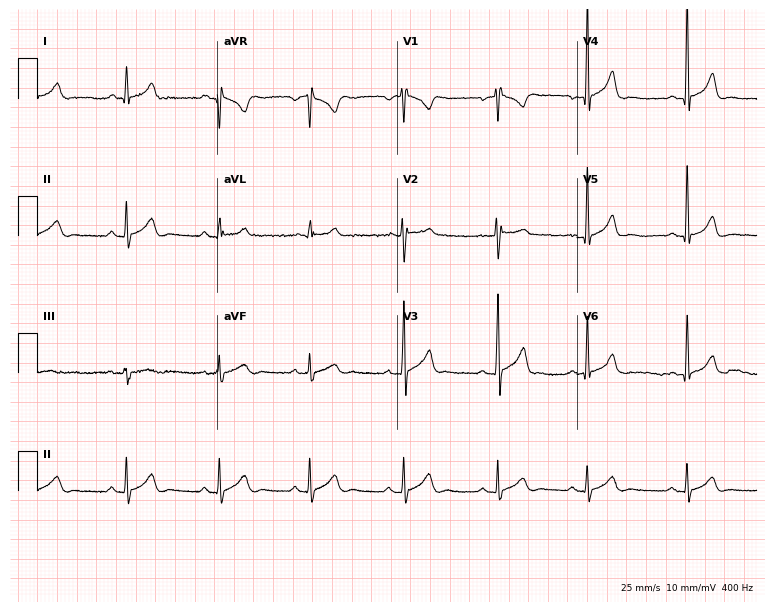
12-lead ECG from a 22-year-old man (7.3-second recording at 400 Hz). Recorded interpretation: within normal limits.